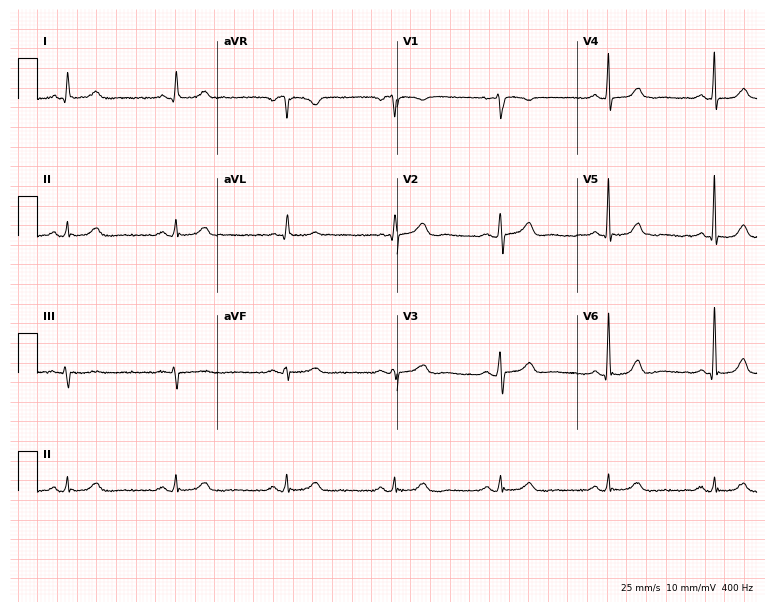
Electrocardiogram, a woman, 78 years old. Overall reading on record: normal ECG.